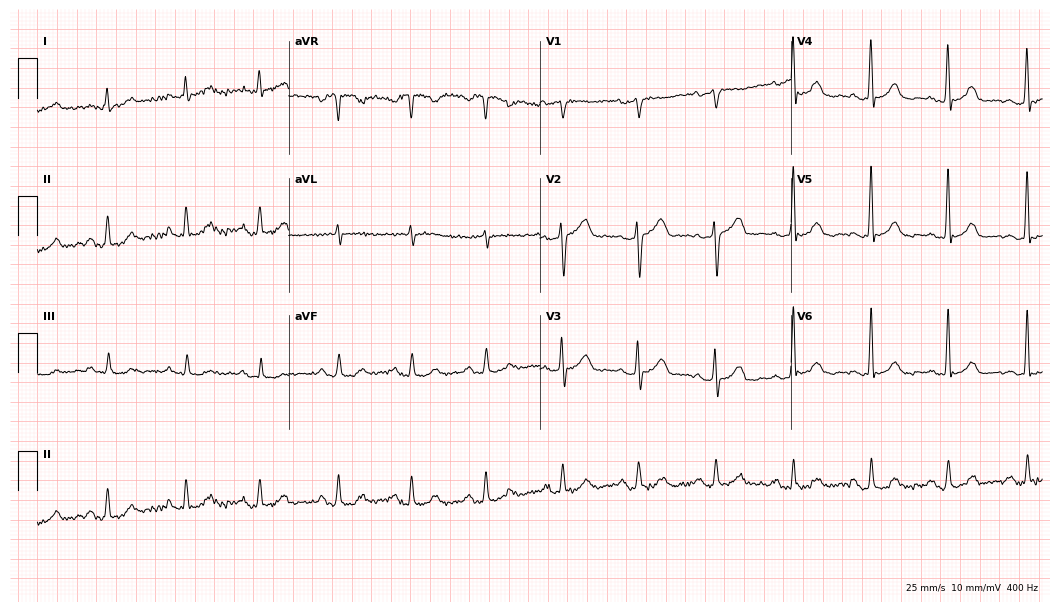
ECG — a 58-year-old male patient. Labelled as a normal ECG.